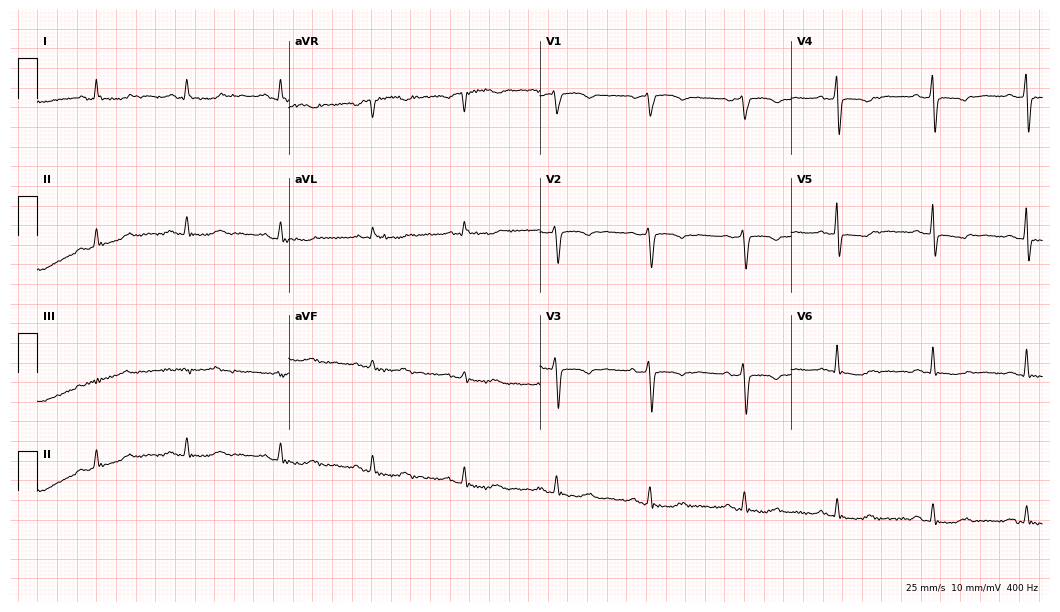
12-lead ECG from a 59-year-old female (10.2-second recording at 400 Hz). No first-degree AV block, right bundle branch block (RBBB), left bundle branch block (LBBB), sinus bradycardia, atrial fibrillation (AF) or sinus tachycardia recorded for this tracing. Findings outside these six are not listed.